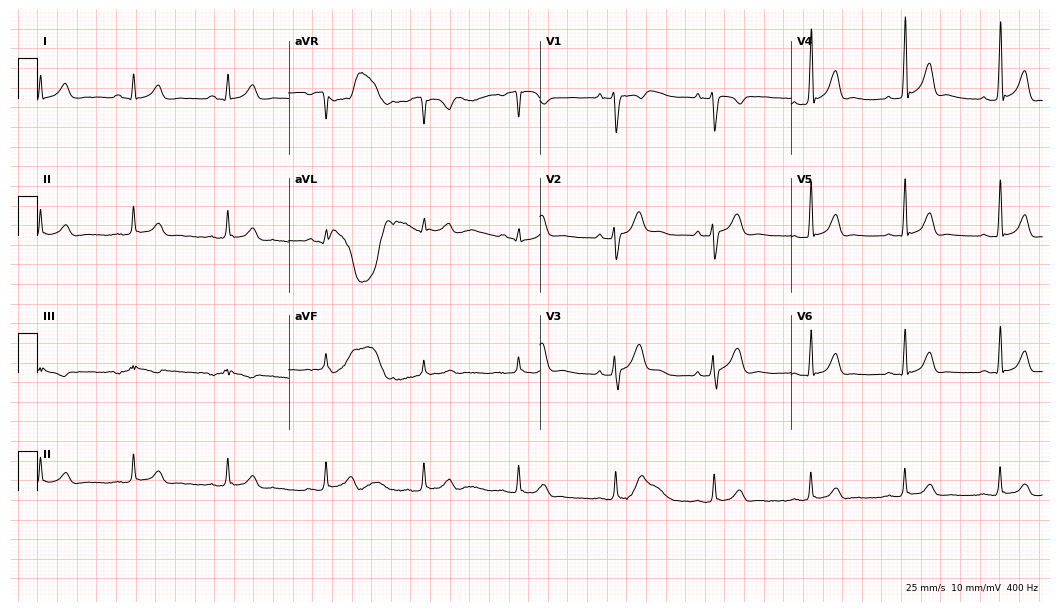
Electrocardiogram (10.2-second recording at 400 Hz), a 34-year-old man. Overall reading on record: normal ECG.